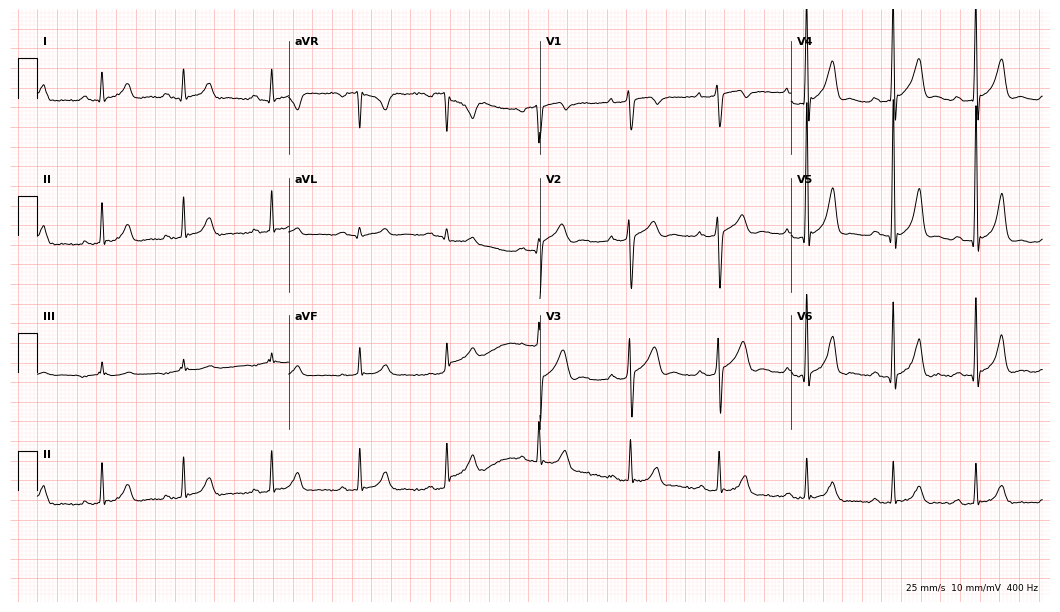
Resting 12-lead electrocardiogram (10.2-second recording at 400 Hz). Patient: a male, 20 years old. None of these six findings is recorded: first-degree AV block, right bundle branch block, left bundle branch block, sinus bradycardia, atrial fibrillation, sinus tachycardia. Other findings, if any, are not listed.